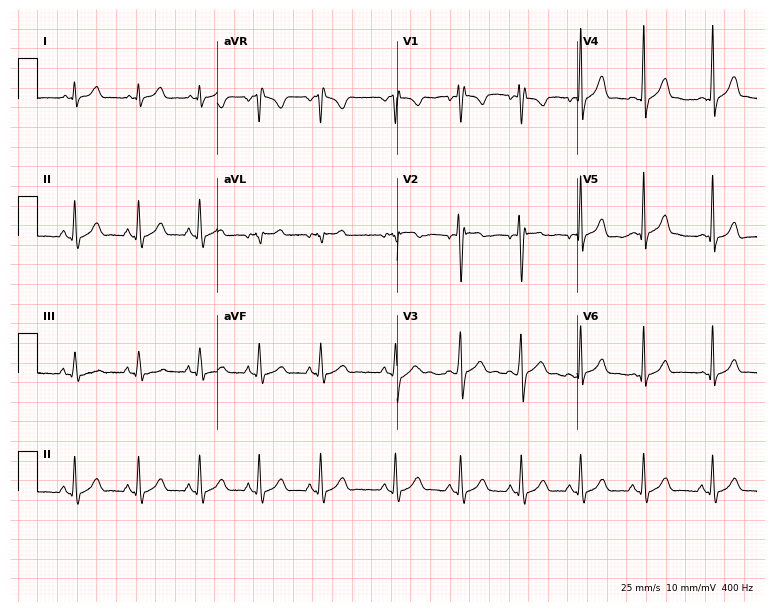
Standard 12-lead ECG recorded from a male, 18 years old. Read as a normal ECG.